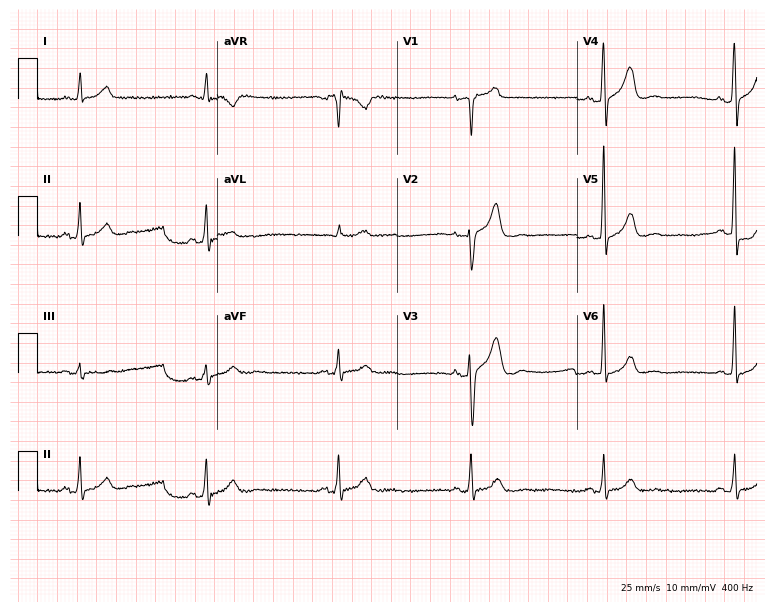
Standard 12-lead ECG recorded from a 61-year-old male patient. The tracing shows sinus bradycardia (a sinus rate of 50 beats per minute or less).